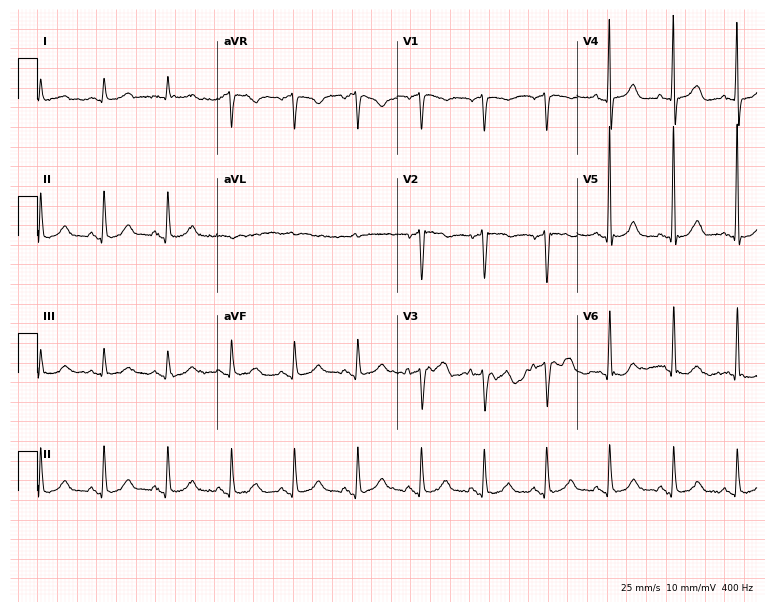
Standard 12-lead ECG recorded from a male, 70 years old (7.3-second recording at 400 Hz). Read as a normal ECG.